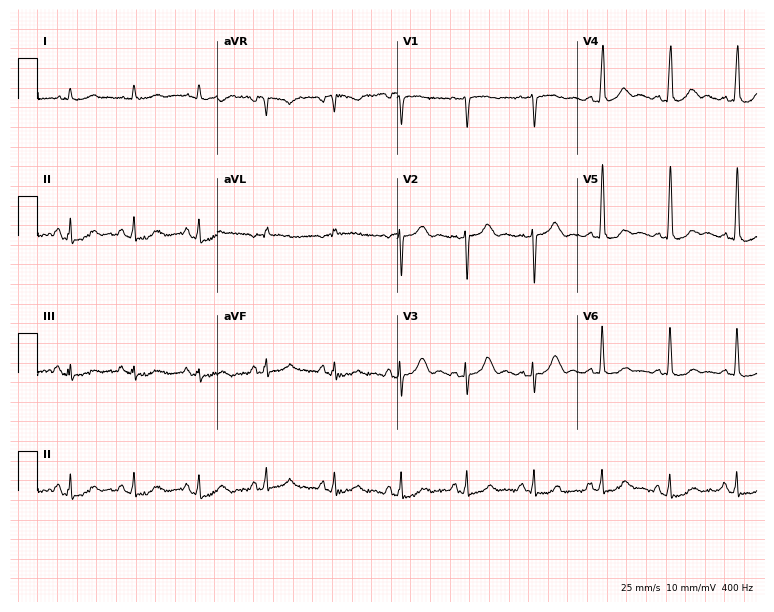
Resting 12-lead electrocardiogram. Patient: a 50-year-old female. None of these six findings is recorded: first-degree AV block, right bundle branch block (RBBB), left bundle branch block (LBBB), sinus bradycardia, atrial fibrillation (AF), sinus tachycardia. Other findings, if any, are not listed.